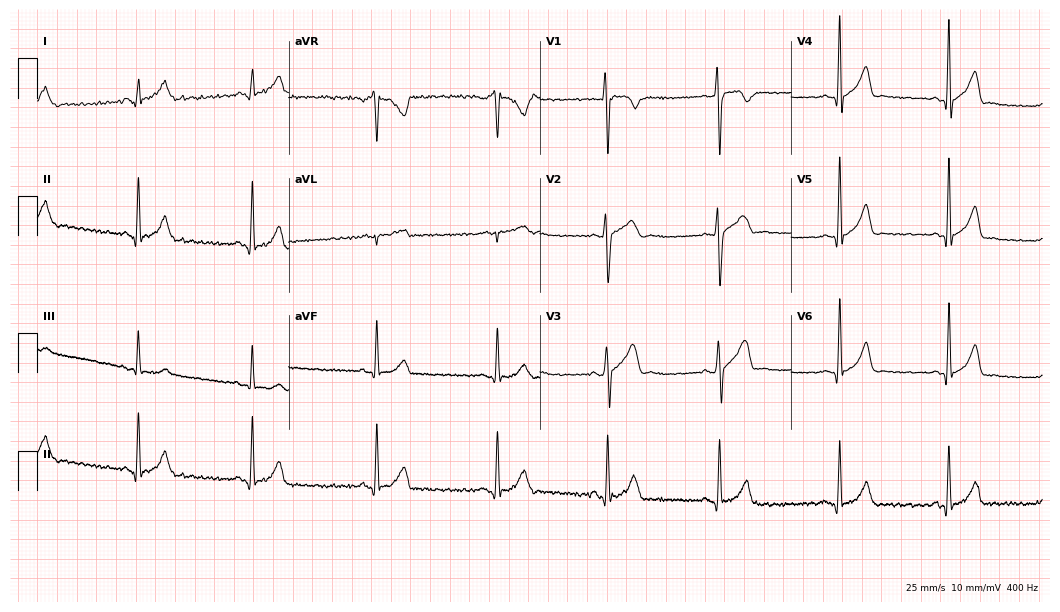
Standard 12-lead ECG recorded from a 27-year-old man (10.2-second recording at 400 Hz). Read as a normal ECG.